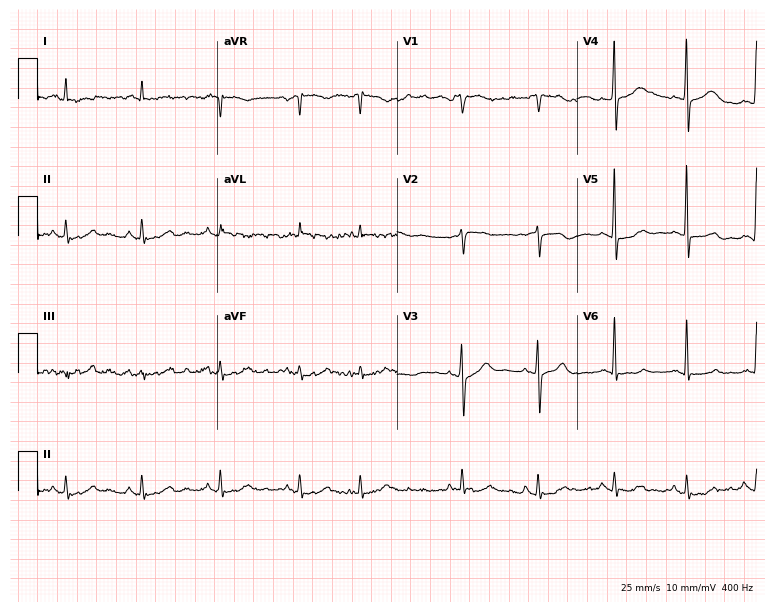
Electrocardiogram, a man, 79 years old. Of the six screened findings (first-degree AV block, right bundle branch block (RBBB), left bundle branch block (LBBB), sinus bradycardia, atrial fibrillation (AF), sinus tachycardia), none is recorded. Other findings, if any, are not listed.